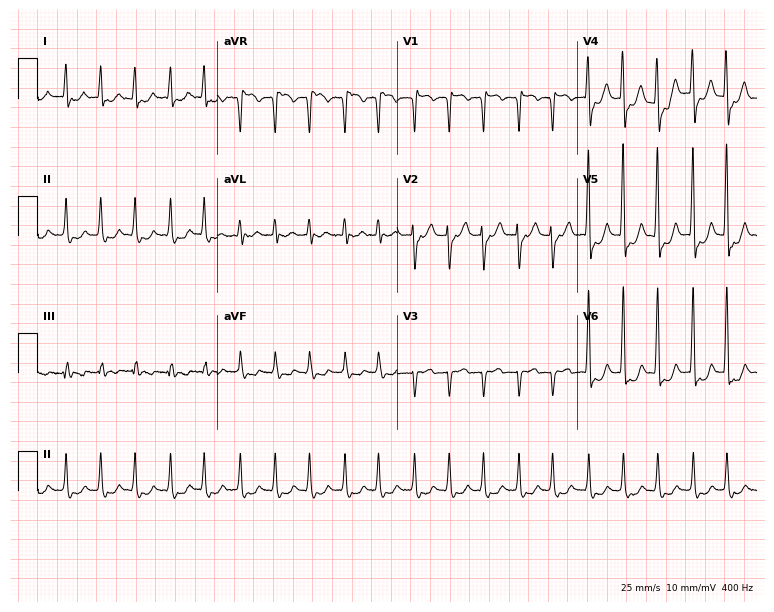
ECG (7.3-second recording at 400 Hz) — a 71-year-old male. Findings include sinus tachycardia (a sinus rate of 100 beats per minute or more).